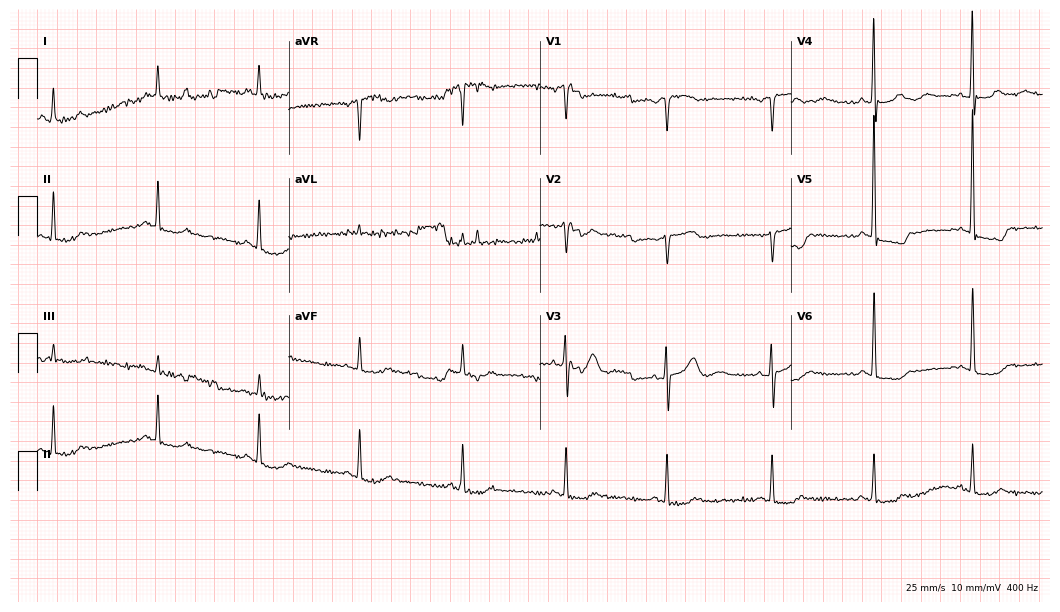
Electrocardiogram (10.2-second recording at 400 Hz), an 84-year-old female patient. Of the six screened findings (first-degree AV block, right bundle branch block, left bundle branch block, sinus bradycardia, atrial fibrillation, sinus tachycardia), none is recorded. Findings outside these six are not listed.